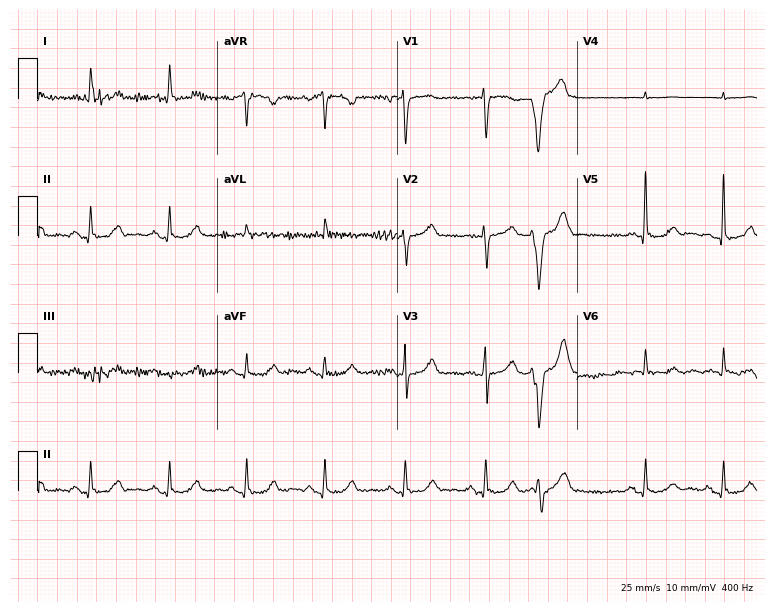
Resting 12-lead electrocardiogram (7.3-second recording at 400 Hz). Patient: a 72-year-old female. None of these six findings is recorded: first-degree AV block, right bundle branch block, left bundle branch block, sinus bradycardia, atrial fibrillation, sinus tachycardia. Only these six findings were labelled.